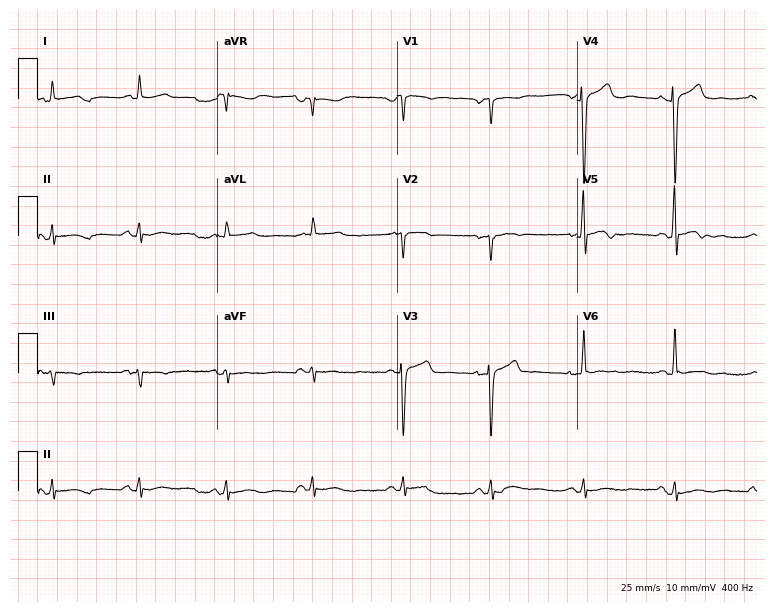
12-lead ECG from a 47-year-old male. No first-degree AV block, right bundle branch block, left bundle branch block, sinus bradycardia, atrial fibrillation or sinus tachycardia recorded for this tracing. Only these six findings were labelled.